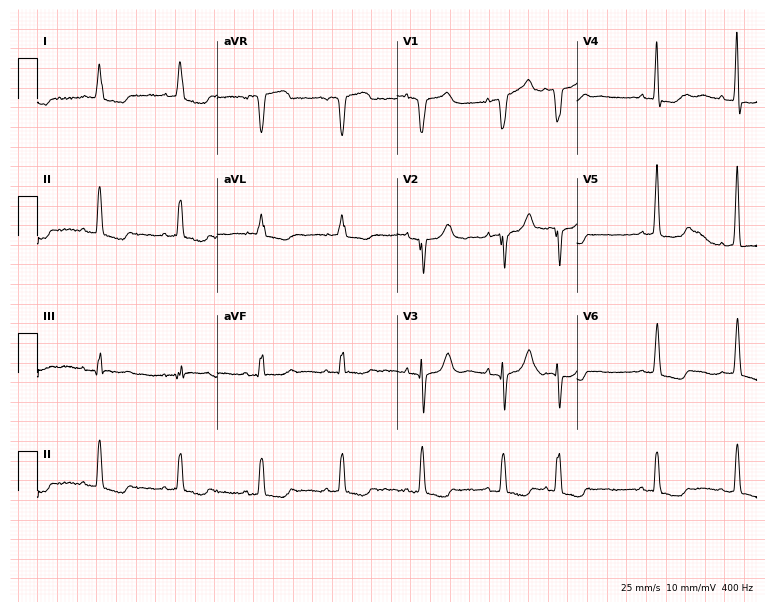
12-lead ECG from an 82-year-old female patient (7.3-second recording at 400 Hz). No first-degree AV block, right bundle branch block, left bundle branch block, sinus bradycardia, atrial fibrillation or sinus tachycardia recorded for this tracing. Other findings, if any, are not listed.